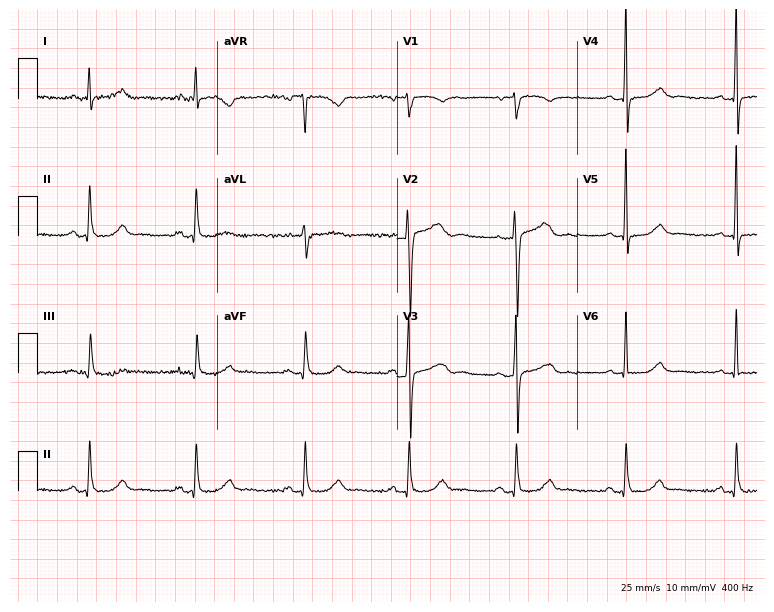
12-lead ECG from a female patient, 56 years old. No first-degree AV block, right bundle branch block (RBBB), left bundle branch block (LBBB), sinus bradycardia, atrial fibrillation (AF) or sinus tachycardia recorded for this tracing.